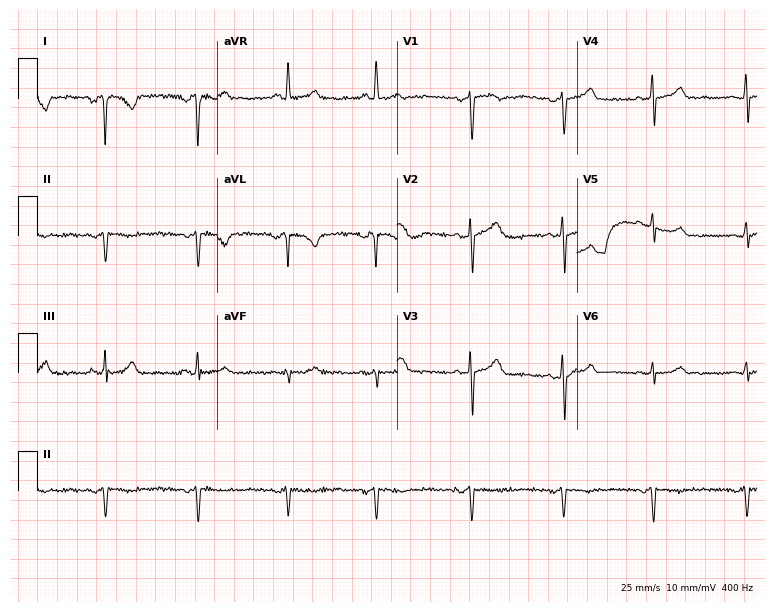
12-lead ECG from a female, 40 years old. No first-degree AV block, right bundle branch block, left bundle branch block, sinus bradycardia, atrial fibrillation or sinus tachycardia recorded for this tracing. Only these six findings were labelled.